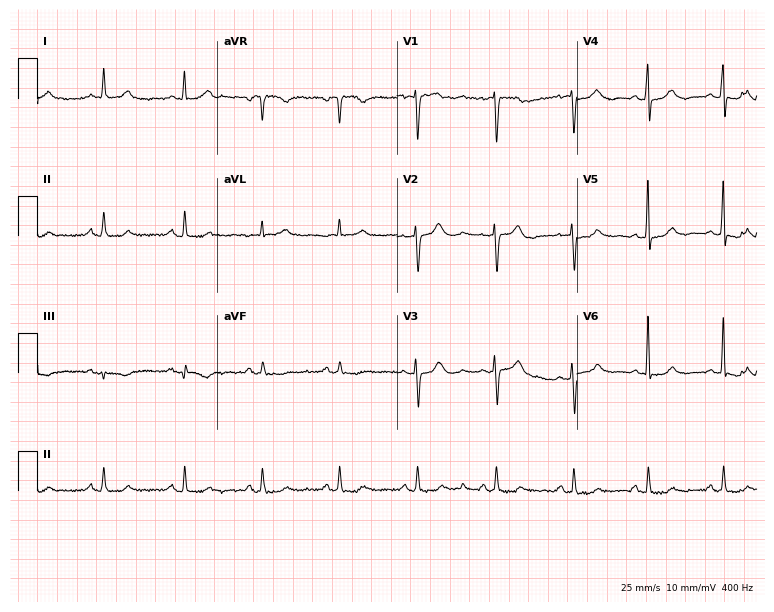
Electrocardiogram, a 50-year-old woman. Overall reading on record: normal ECG.